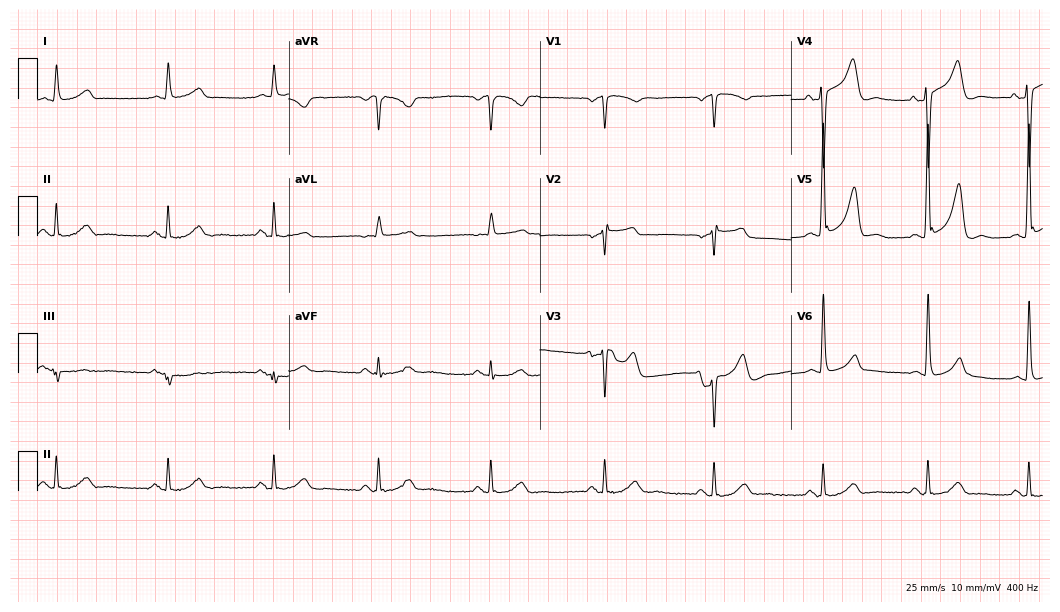
12-lead ECG from a 58-year-old male patient. No first-degree AV block, right bundle branch block, left bundle branch block, sinus bradycardia, atrial fibrillation or sinus tachycardia recorded for this tracing. Only these six findings were labelled.